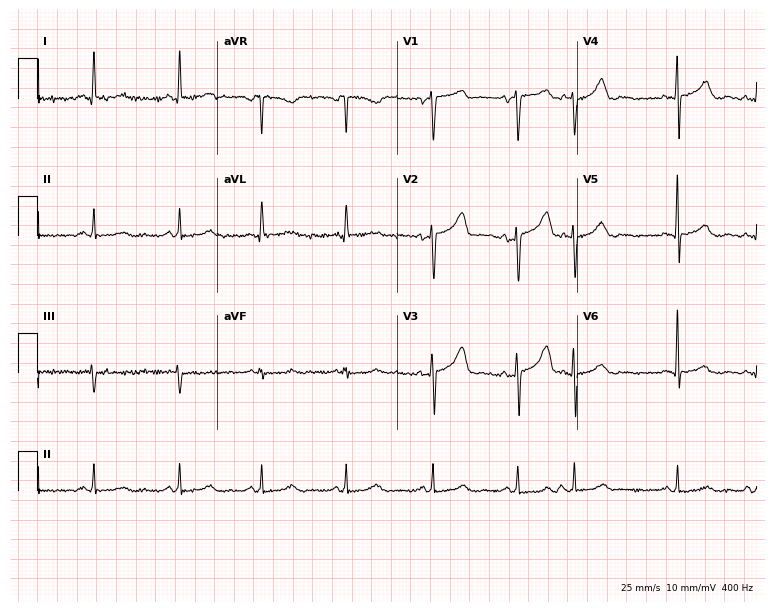
Standard 12-lead ECG recorded from a woman, 61 years old (7.3-second recording at 400 Hz). None of these six findings is recorded: first-degree AV block, right bundle branch block, left bundle branch block, sinus bradycardia, atrial fibrillation, sinus tachycardia. Findings outside these six are not listed.